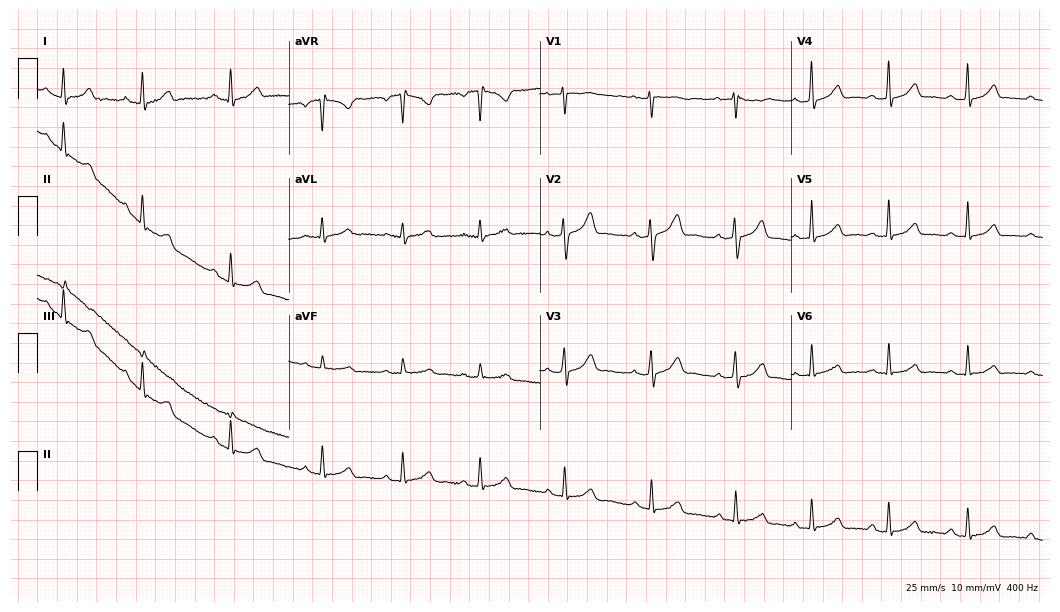
Standard 12-lead ECG recorded from a 36-year-old woman (10.2-second recording at 400 Hz). Read as a normal ECG.